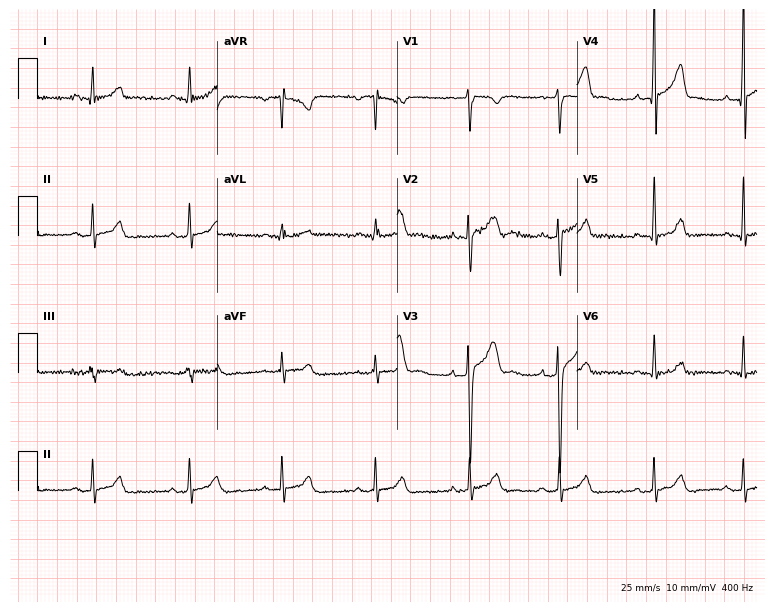
ECG — a 19-year-old male patient. Screened for six findings — first-degree AV block, right bundle branch block, left bundle branch block, sinus bradycardia, atrial fibrillation, sinus tachycardia — none is recorded.